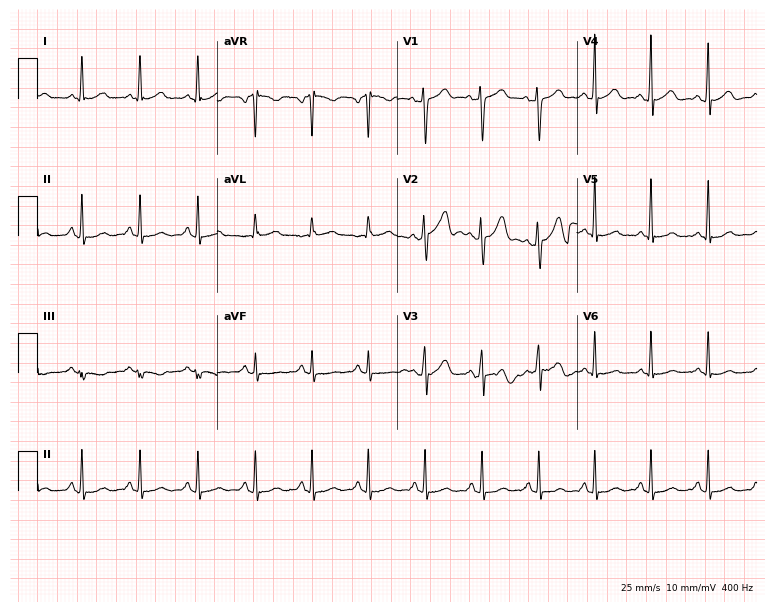
Electrocardiogram, a male, 46 years old. Of the six screened findings (first-degree AV block, right bundle branch block (RBBB), left bundle branch block (LBBB), sinus bradycardia, atrial fibrillation (AF), sinus tachycardia), none is recorded.